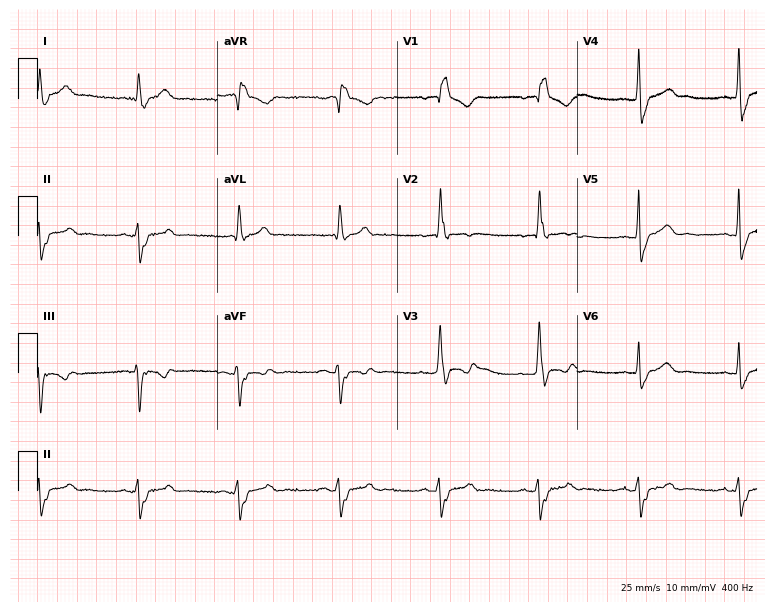
12-lead ECG from a 40-year-old man (7.3-second recording at 400 Hz). Shows right bundle branch block (RBBB).